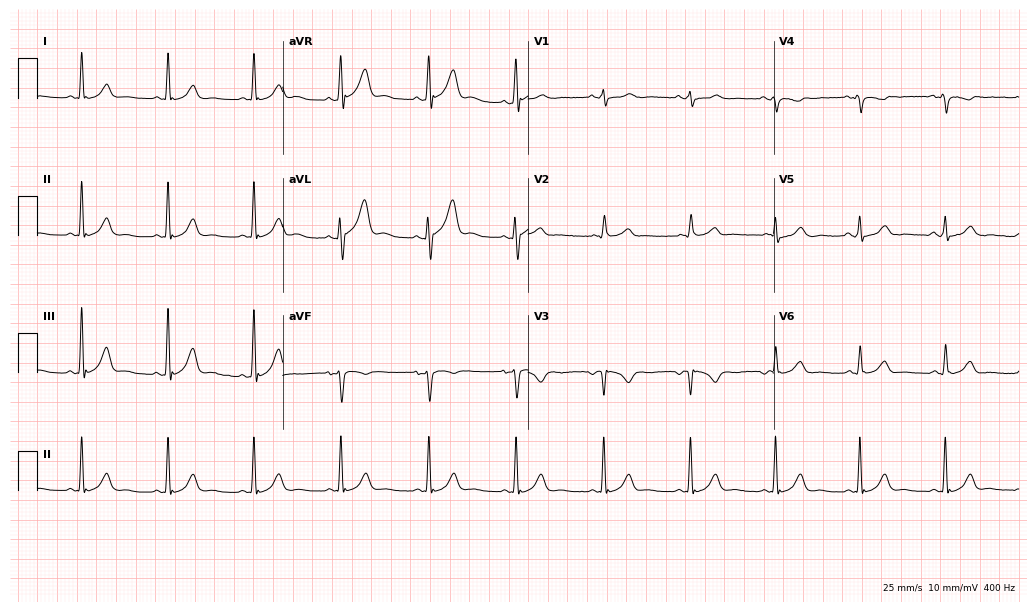
Resting 12-lead electrocardiogram. Patient: a 49-year-old male. None of these six findings is recorded: first-degree AV block, right bundle branch block (RBBB), left bundle branch block (LBBB), sinus bradycardia, atrial fibrillation (AF), sinus tachycardia.